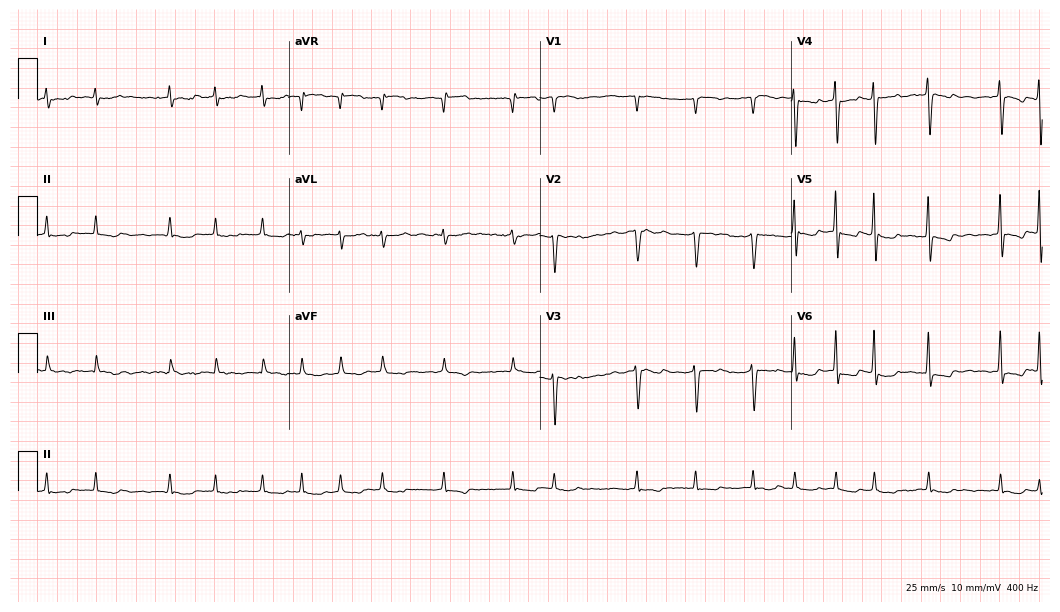
12-lead ECG (10.2-second recording at 400 Hz) from a female, 84 years old. Findings include atrial fibrillation.